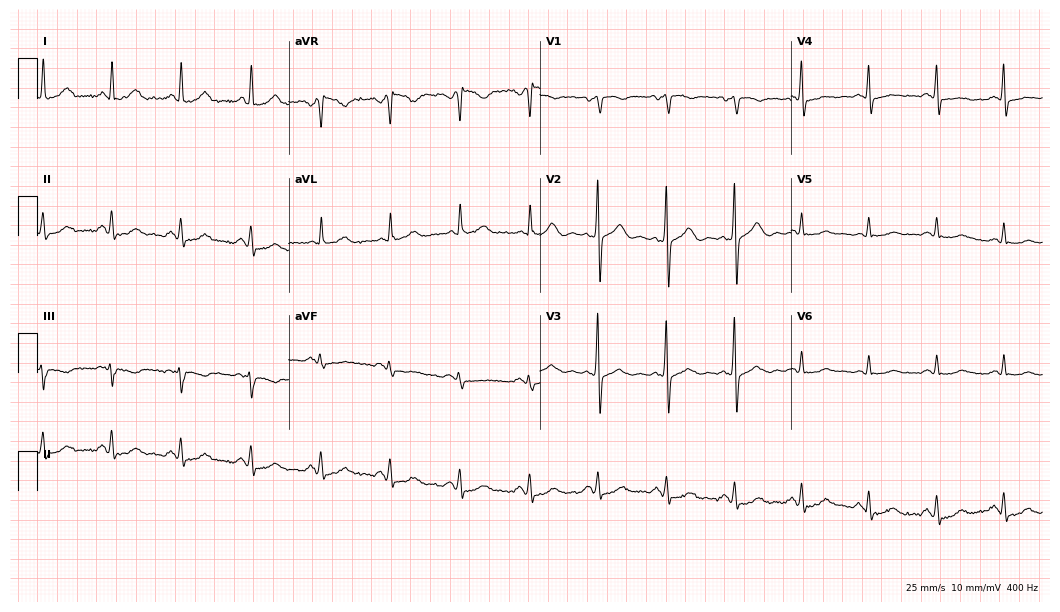
Electrocardiogram, a 57-year-old female. Of the six screened findings (first-degree AV block, right bundle branch block (RBBB), left bundle branch block (LBBB), sinus bradycardia, atrial fibrillation (AF), sinus tachycardia), none is recorded. Other findings, if any, are not listed.